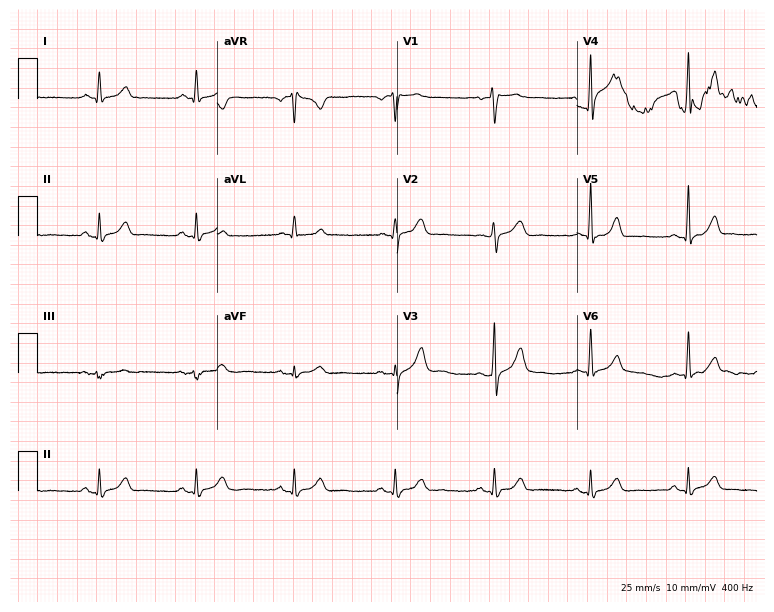
Standard 12-lead ECG recorded from a 49-year-old man. None of these six findings is recorded: first-degree AV block, right bundle branch block, left bundle branch block, sinus bradycardia, atrial fibrillation, sinus tachycardia. Only these six findings were labelled.